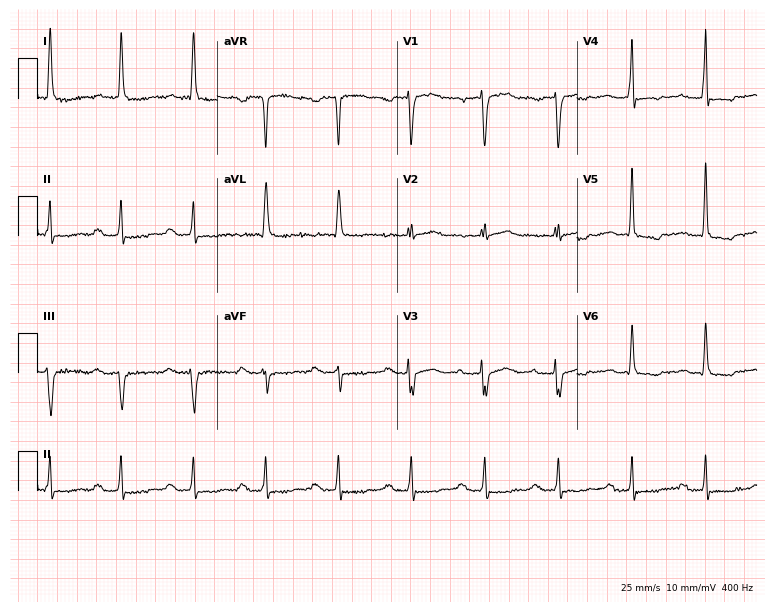
12-lead ECG from a 77-year-old male patient. No first-degree AV block, right bundle branch block, left bundle branch block, sinus bradycardia, atrial fibrillation or sinus tachycardia recorded for this tracing. Only these six findings were labelled.